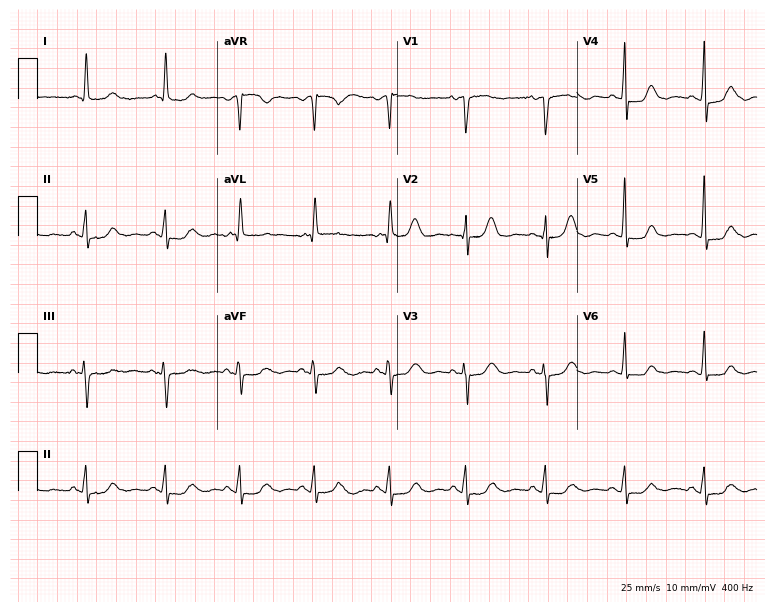
ECG — a 73-year-old female. Screened for six findings — first-degree AV block, right bundle branch block, left bundle branch block, sinus bradycardia, atrial fibrillation, sinus tachycardia — none is recorded.